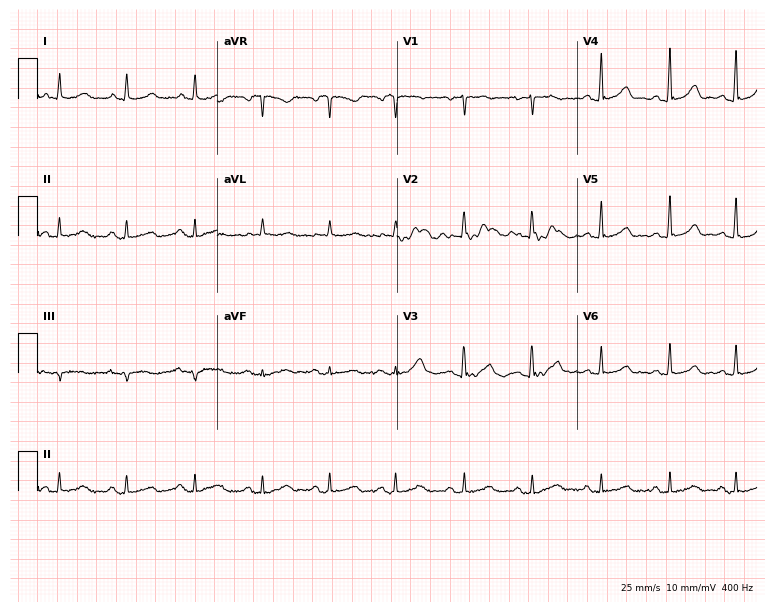
Electrocardiogram, a female, 77 years old. Of the six screened findings (first-degree AV block, right bundle branch block, left bundle branch block, sinus bradycardia, atrial fibrillation, sinus tachycardia), none is recorded. Only these six findings were labelled.